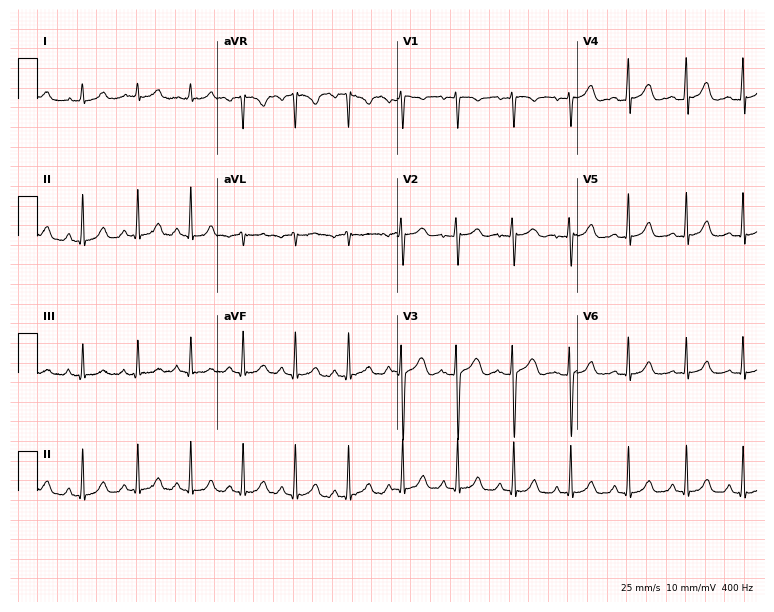
Resting 12-lead electrocardiogram (7.3-second recording at 400 Hz). Patient: a 19-year-old woman. The tracing shows sinus tachycardia (a sinus rate of 100 beats per minute or more).